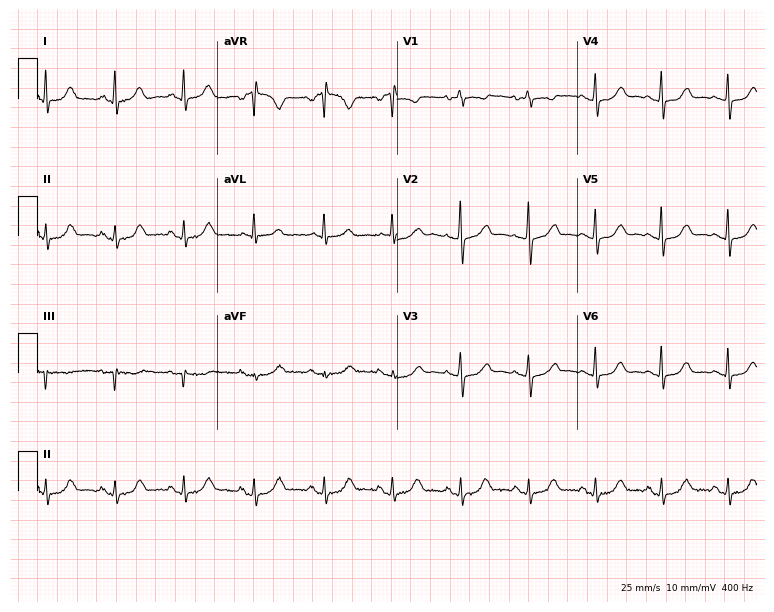
ECG — a female patient, 68 years old. Labelled as a normal ECG.